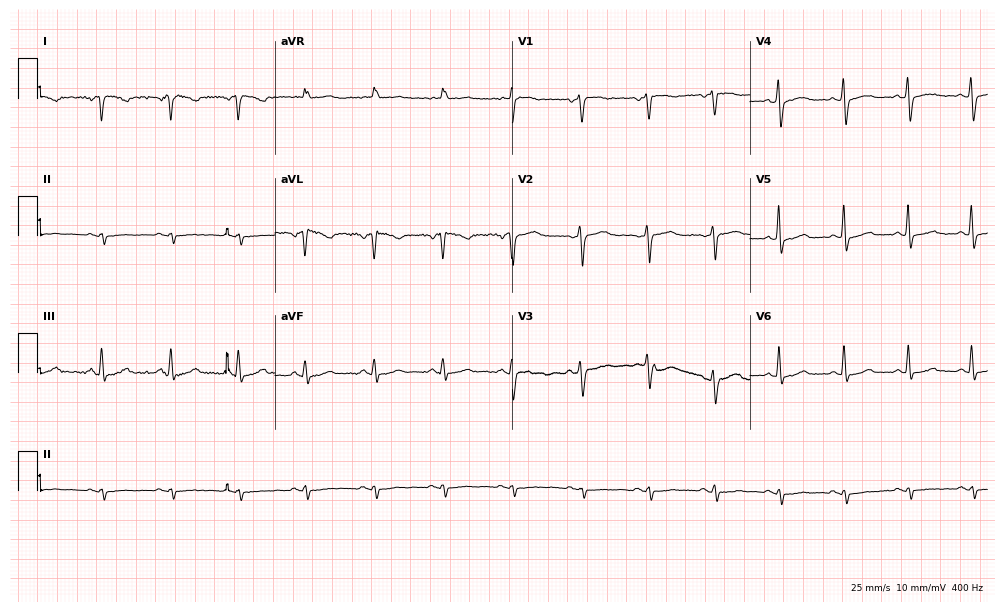
Electrocardiogram, a 53-year-old female. Of the six screened findings (first-degree AV block, right bundle branch block (RBBB), left bundle branch block (LBBB), sinus bradycardia, atrial fibrillation (AF), sinus tachycardia), none is recorded.